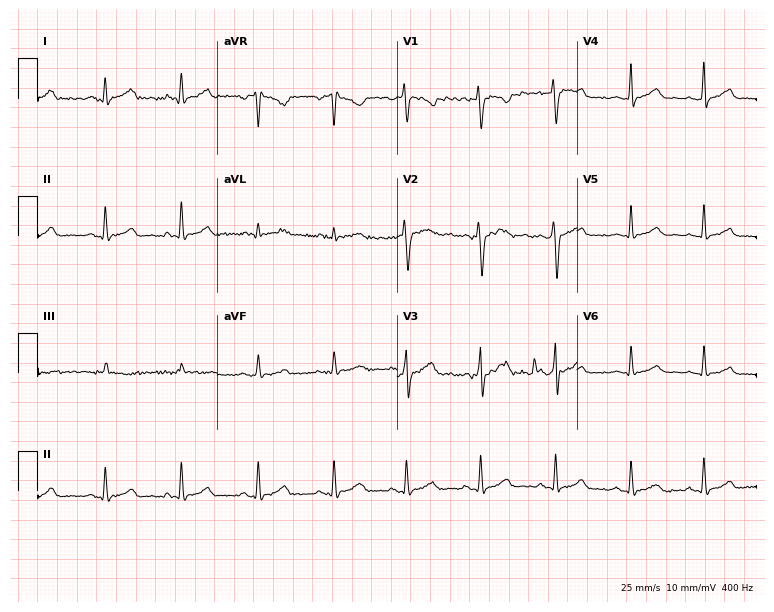
12-lead ECG from a female patient, 26 years old. Screened for six findings — first-degree AV block, right bundle branch block, left bundle branch block, sinus bradycardia, atrial fibrillation, sinus tachycardia — none is recorded.